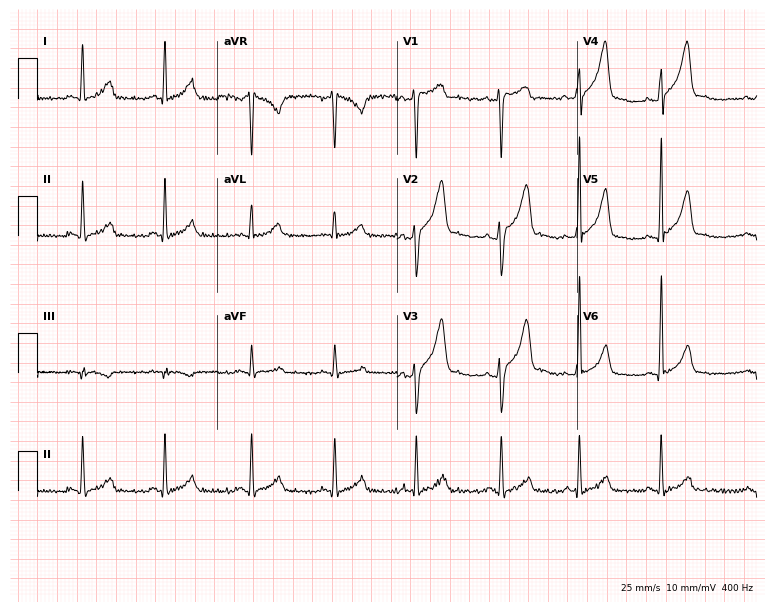
ECG — a male patient, 35 years old. Screened for six findings — first-degree AV block, right bundle branch block (RBBB), left bundle branch block (LBBB), sinus bradycardia, atrial fibrillation (AF), sinus tachycardia — none is recorded. Other findings, if any, are not listed.